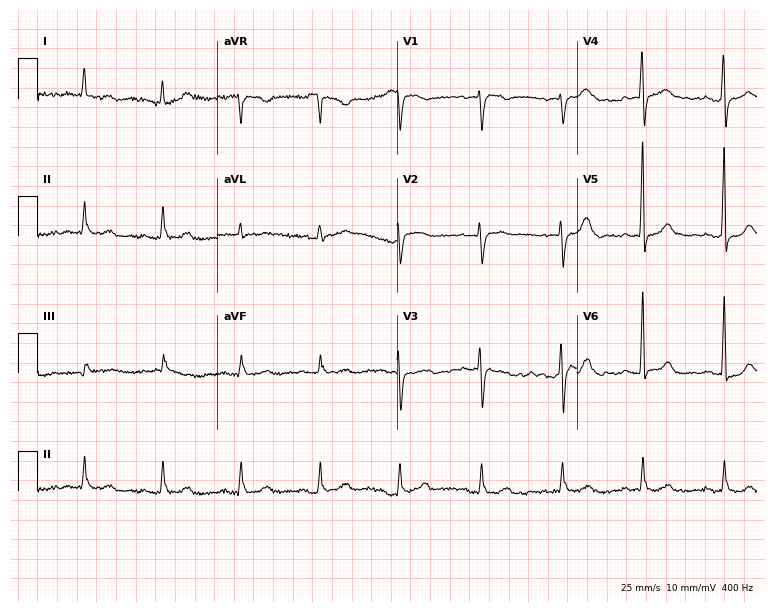
Standard 12-lead ECG recorded from a female, 74 years old. Read as a normal ECG.